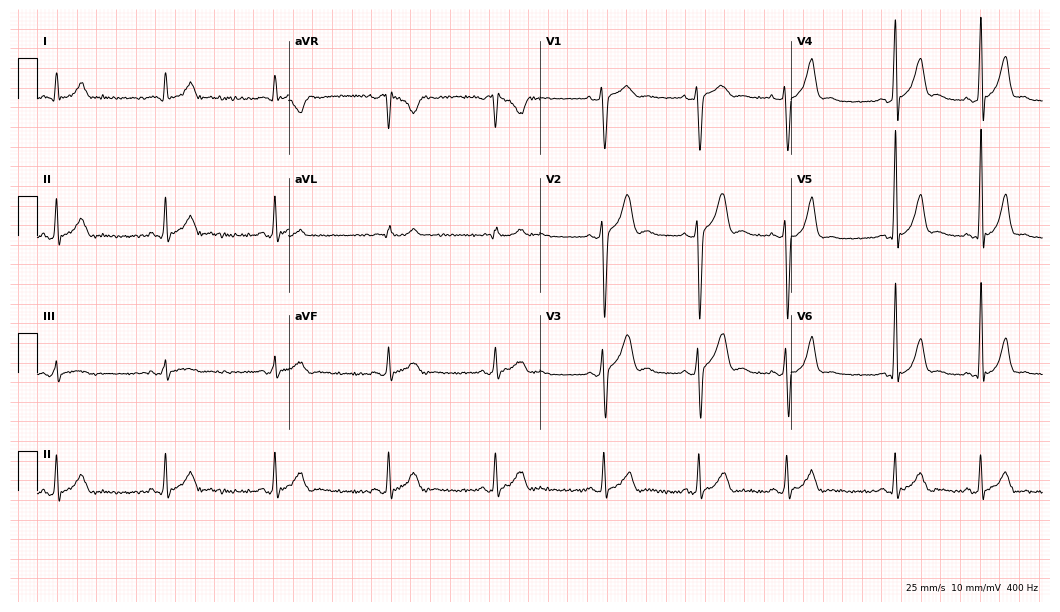
Standard 12-lead ECG recorded from a 27-year-old male patient (10.2-second recording at 400 Hz). Read as a normal ECG.